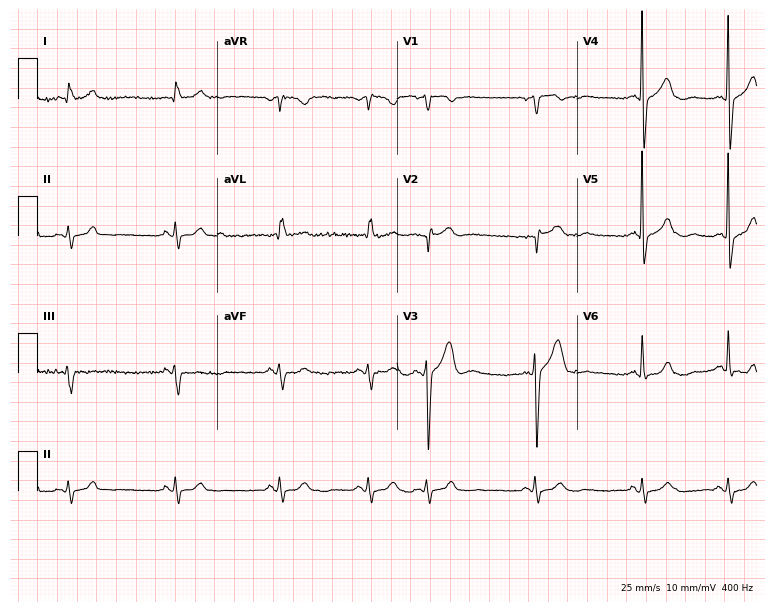
Electrocardiogram, a 64-year-old male patient. Of the six screened findings (first-degree AV block, right bundle branch block, left bundle branch block, sinus bradycardia, atrial fibrillation, sinus tachycardia), none is recorded.